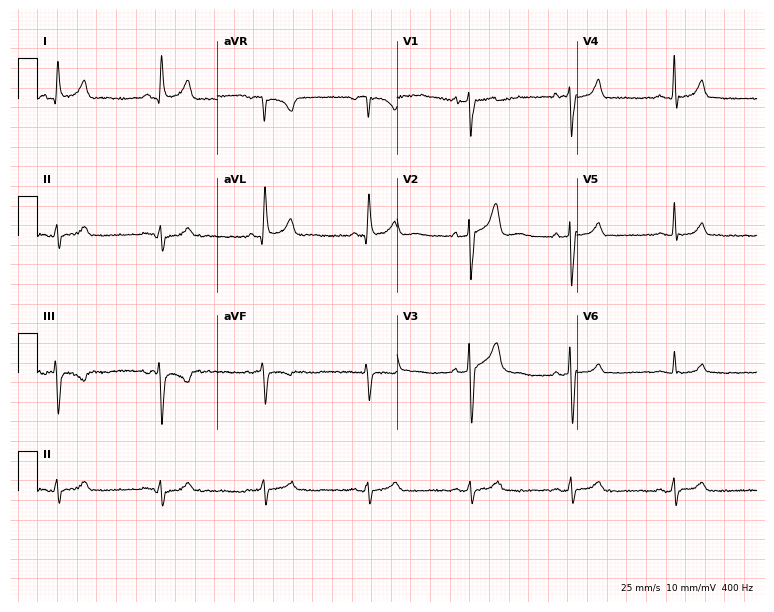
Standard 12-lead ECG recorded from a male, 56 years old (7.3-second recording at 400 Hz). None of these six findings is recorded: first-degree AV block, right bundle branch block, left bundle branch block, sinus bradycardia, atrial fibrillation, sinus tachycardia.